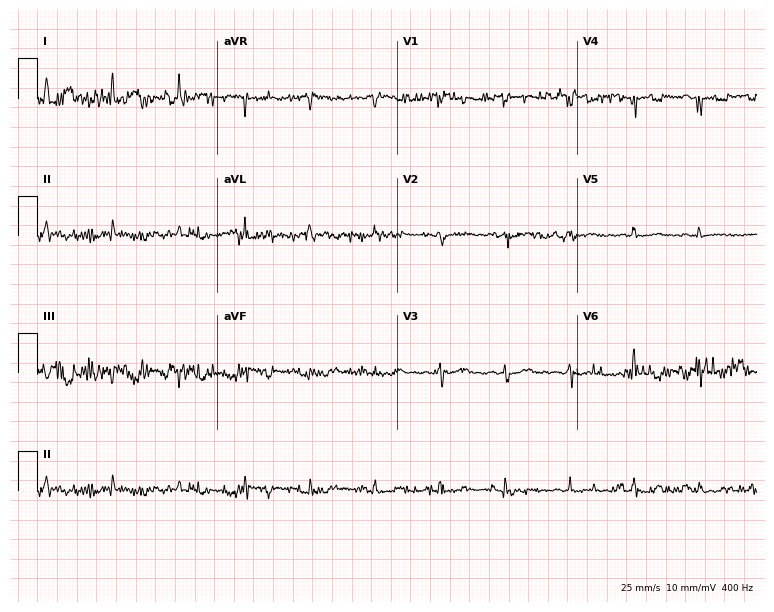
ECG (7.3-second recording at 400 Hz) — a 45-year-old female. Screened for six findings — first-degree AV block, right bundle branch block, left bundle branch block, sinus bradycardia, atrial fibrillation, sinus tachycardia — none is recorded.